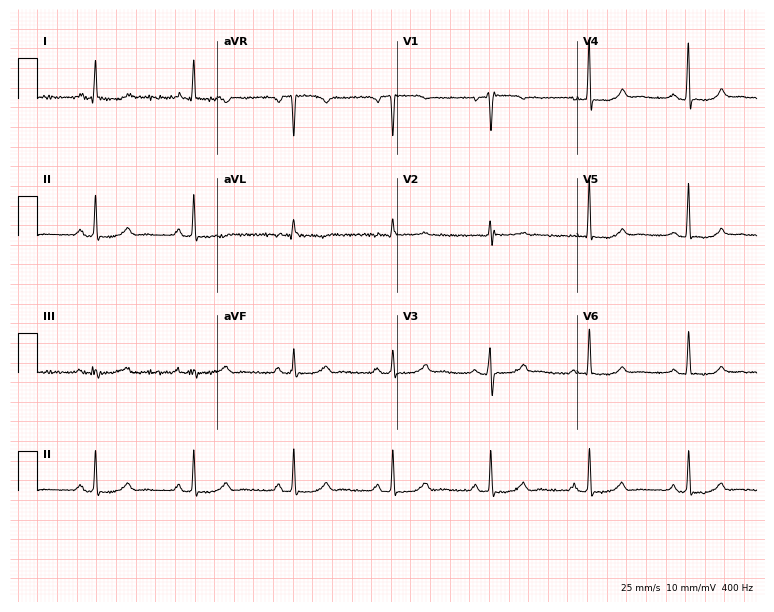
12-lead ECG (7.3-second recording at 400 Hz) from a 55-year-old woman. Labelled as a normal ECG.